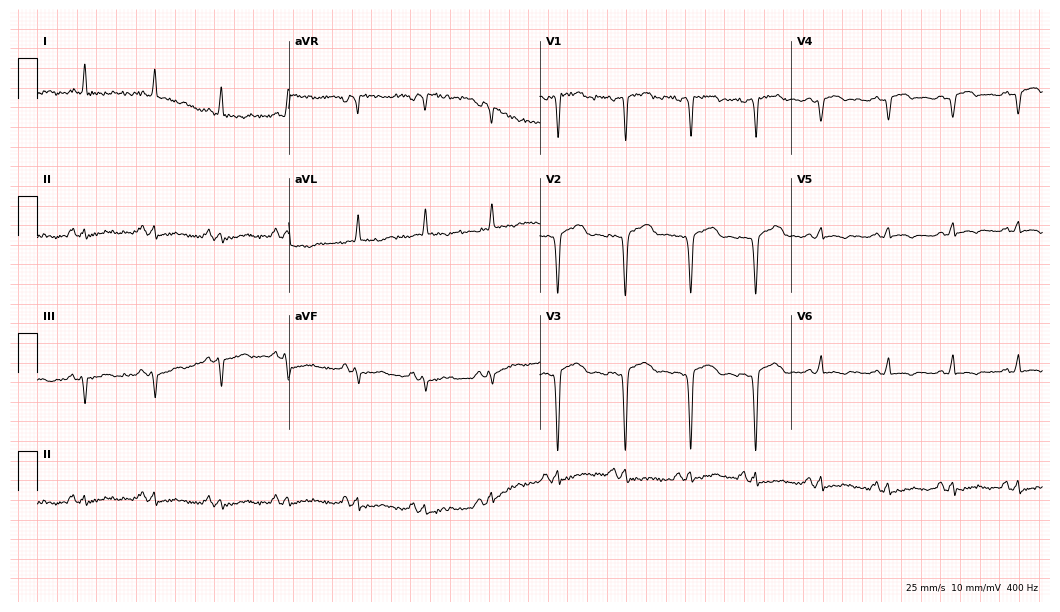
12-lead ECG from an 82-year-old female (10.2-second recording at 400 Hz). No first-degree AV block, right bundle branch block, left bundle branch block, sinus bradycardia, atrial fibrillation or sinus tachycardia recorded for this tracing.